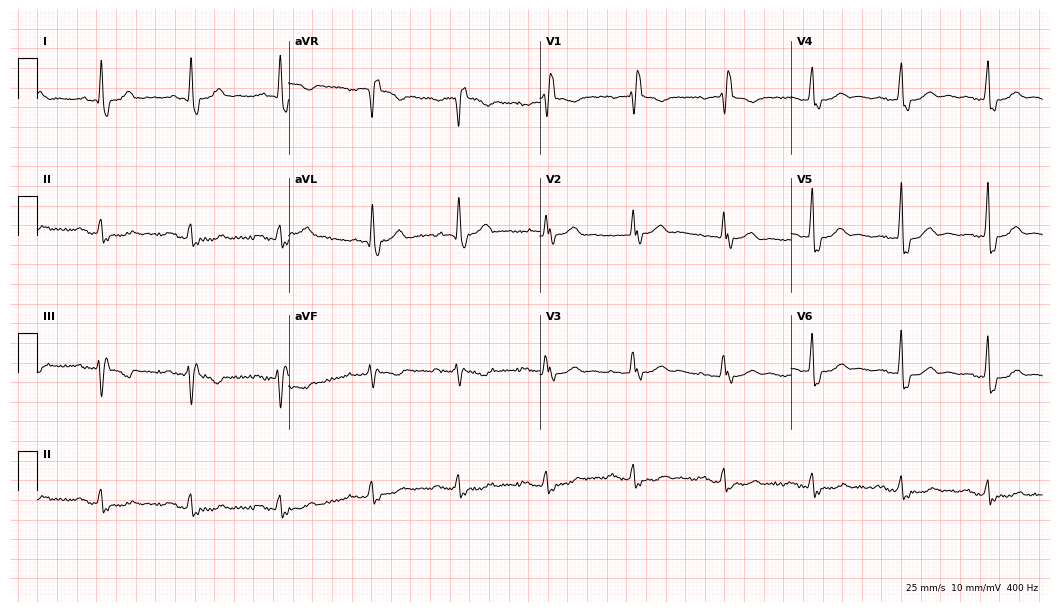
12-lead ECG from a woman, 81 years old. Shows right bundle branch block (RBBB).